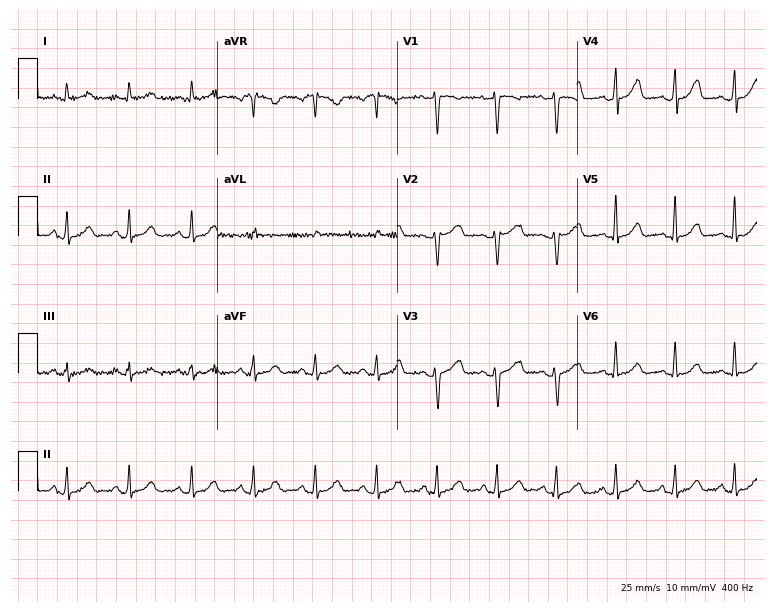
Electrocardiogram, a female patient, 47 years old. Overall reading on record: normal ECG.